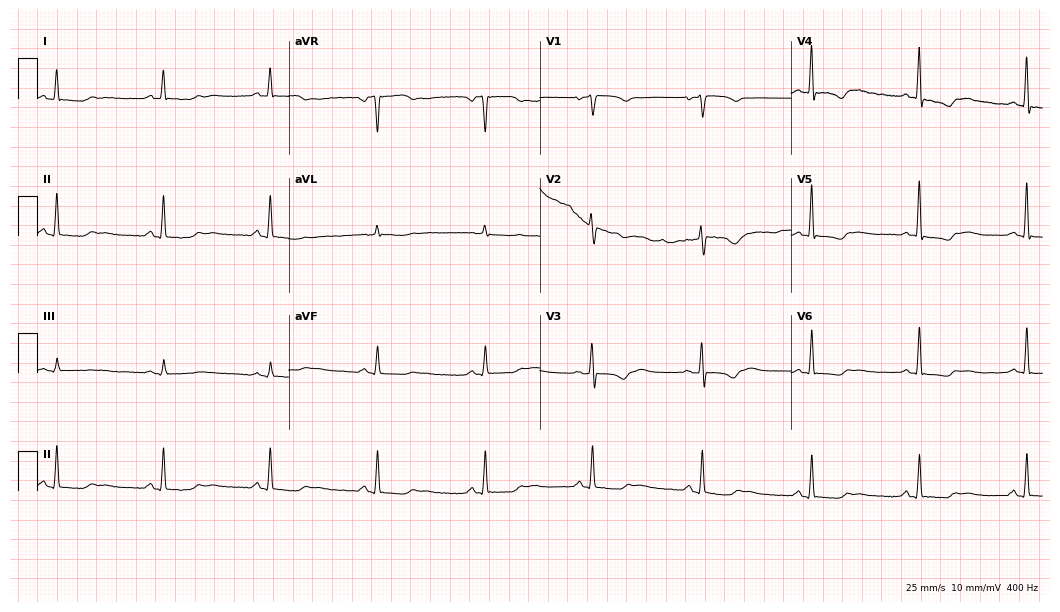
Standard 12-lead ECG recorded from a female, 71 years old (10.2-second recording at 400 Hz). None of these six findings is recorded: first-degree AV block, right bundle branch block (RBBB), left bundle branch block (LBBB), sinus bradycardia, atrial fibrillation (AF), sinus tachycardia.